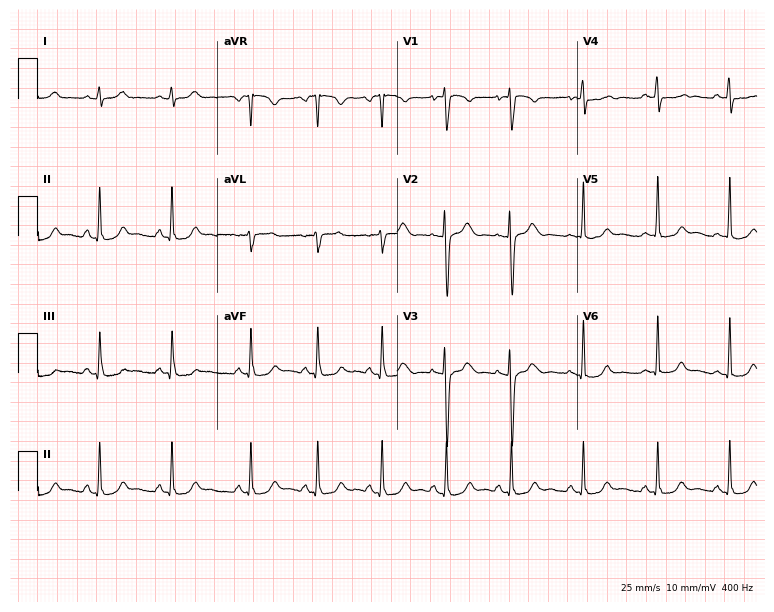
Electrocardiogram (7.3-second recording at 400 Hz), a 17-year-old female. Of the six screened findings (first-degree AV block, right bundle branch block, left bundle branch block, sinus bradycardia, atrial fibrillation, sinus tachycardia), none is recorded. Other findings, if any, are not listed.